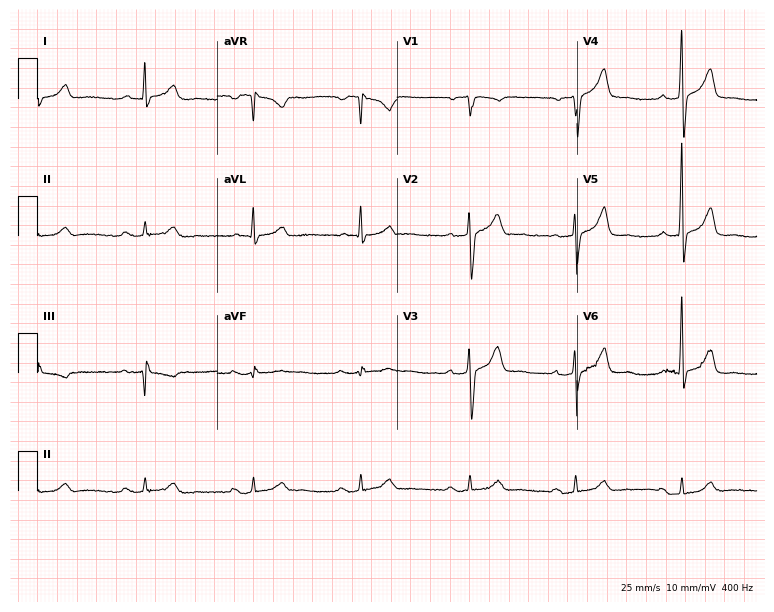
12-lead ECG from a 65-year-old man. Labelled as a normal ECG.